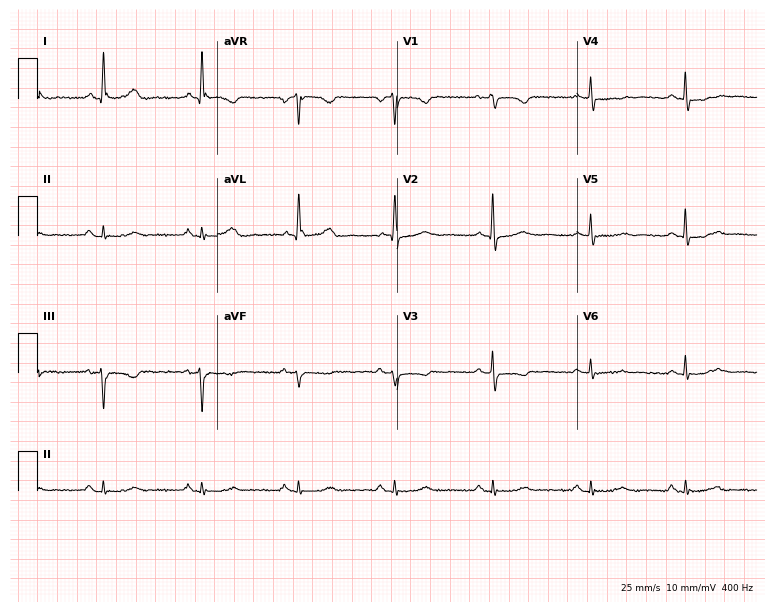
12-lead ECG from a woman, 81 years old (7.3-second recording at 400 Hz). Recorded interpretation: within normal limits.